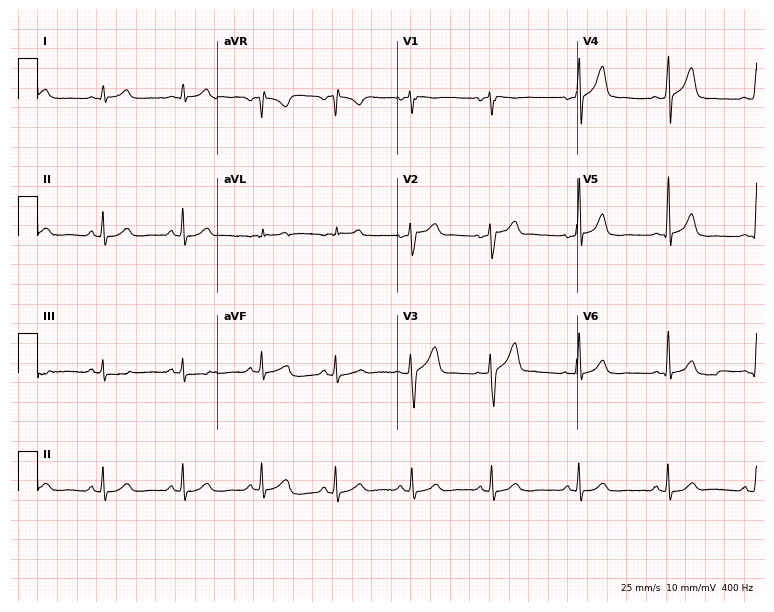
12-lead ECG (7.3-second recording at 400 Hz) from a male, 54 years old. Labelled as a normal ECG.